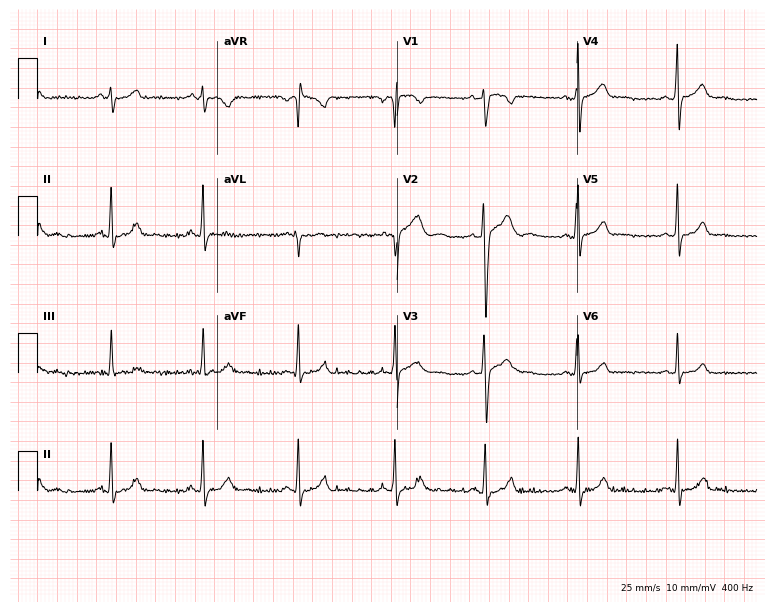
Resting 12-lead electrocardiogram (7.3-second recording at 400 Hz). Patient: a 19-year-old woman. None of these six findings is recorded: first-degree AV block, right bundle branch block (RBBB), left bundle branch block (LBBB), sinus bradycardia, atrial fibrillation (AF), sinus tachycardia.